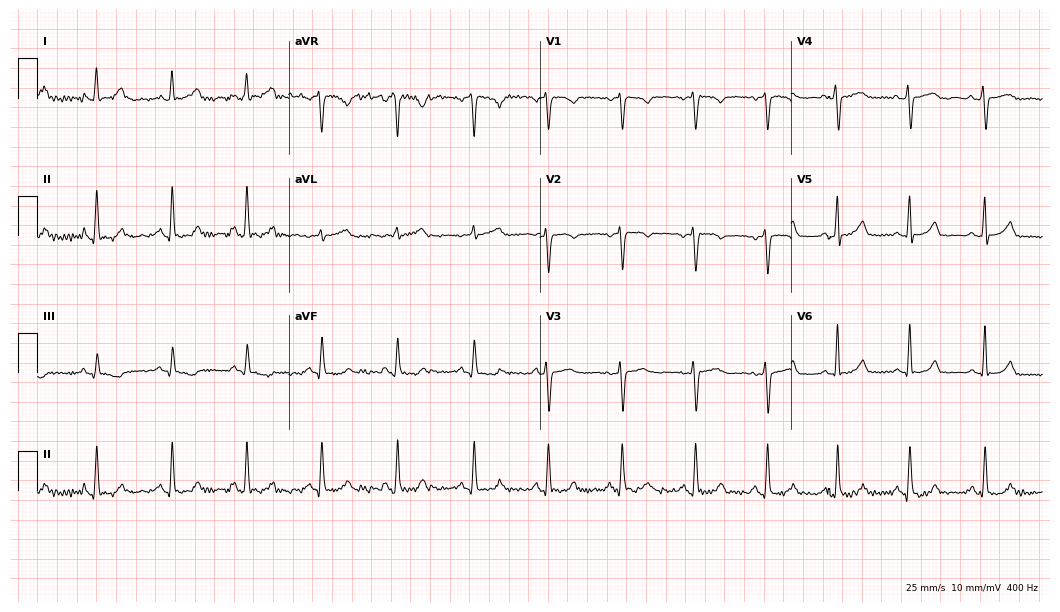
Electrocardiogram (10.2-second recording at 400 Hz), a 46-year-old woman. Of the six screened findings (first-degree AV block, right bundle branch block, left bundle branch block, sinus bradycardia, atrial fibrillation, sinus tachycardia), none is recorded.